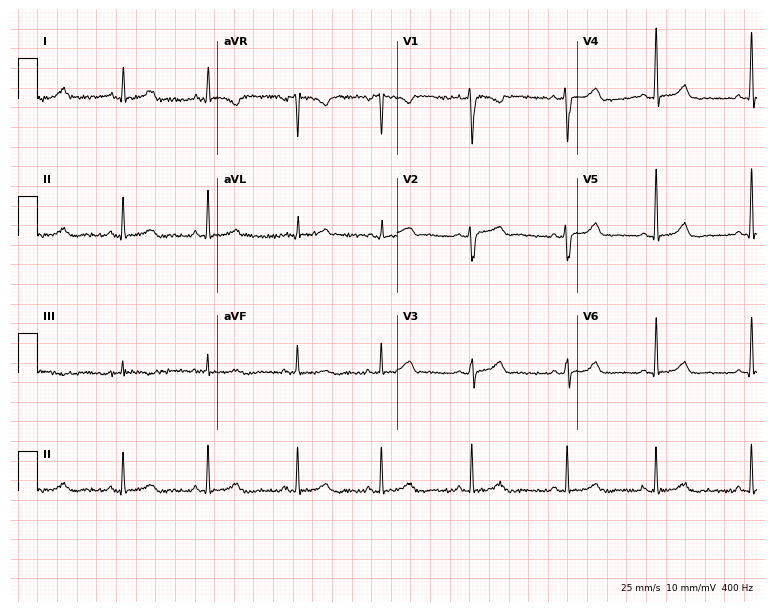
Electrocardiogram (7.3-second recording at 400 Hz), a woman, 29 years old. Of the six screened findings (first-degree AV block, right bundle branch block, left bundle branch block, sinus bradycardia, atrial fibrillation, sinus tachycardia), none is recorded. Other findings, if any, are not listed.